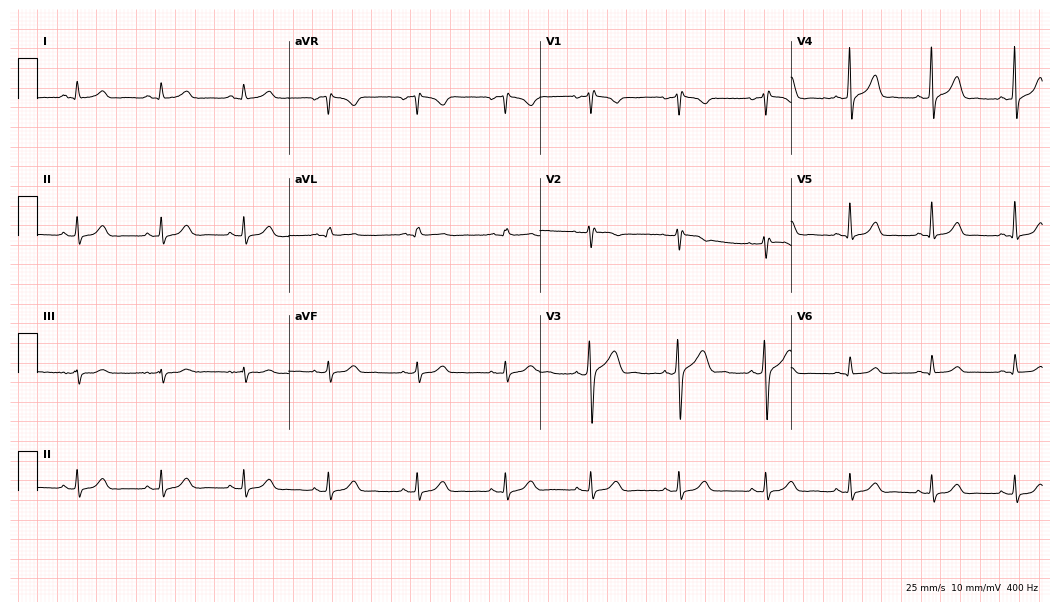
12-lead ECG from a 48-year-old male patient. Screened for six findings — first-degree AV block, right bundle branch block, left bundle branch block, sinus bradycardia, atrial fibrillation, sinus tachycardia — none is recorded.